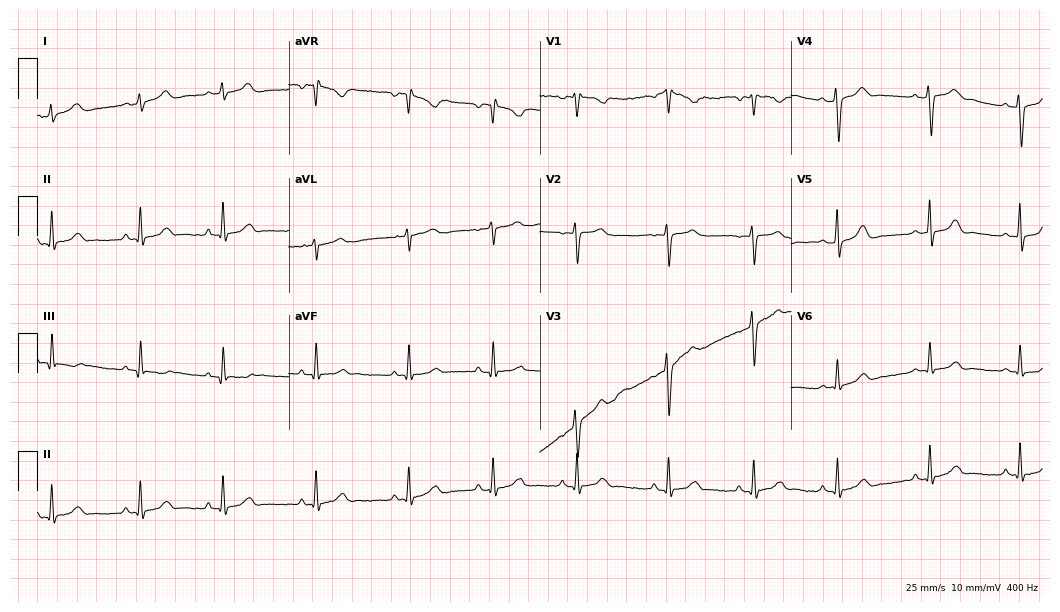
Resting 12-lead electrocardiogram. Patient: a 22-year-old female. Read as a normal ECG.